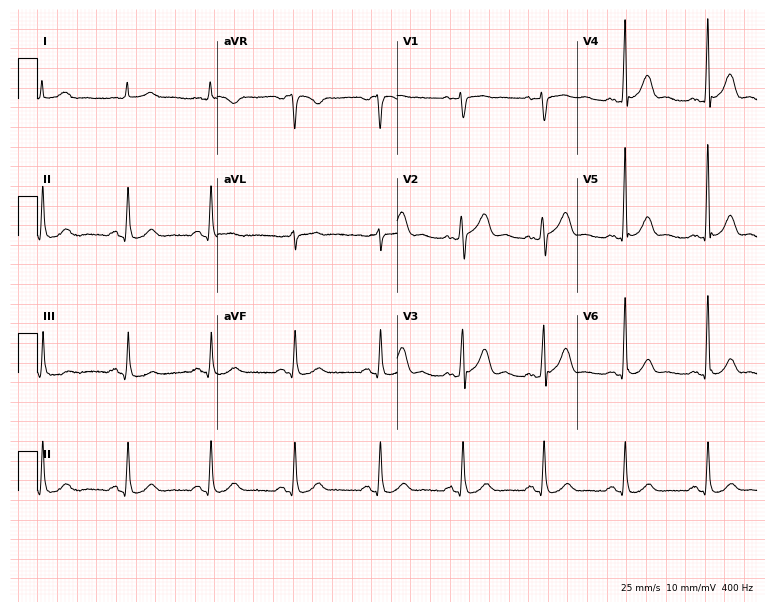
12-lead ECG (7.3-second recording at 400 Hz) from a male patient, 49 years old. Labelled as a normal ECG.